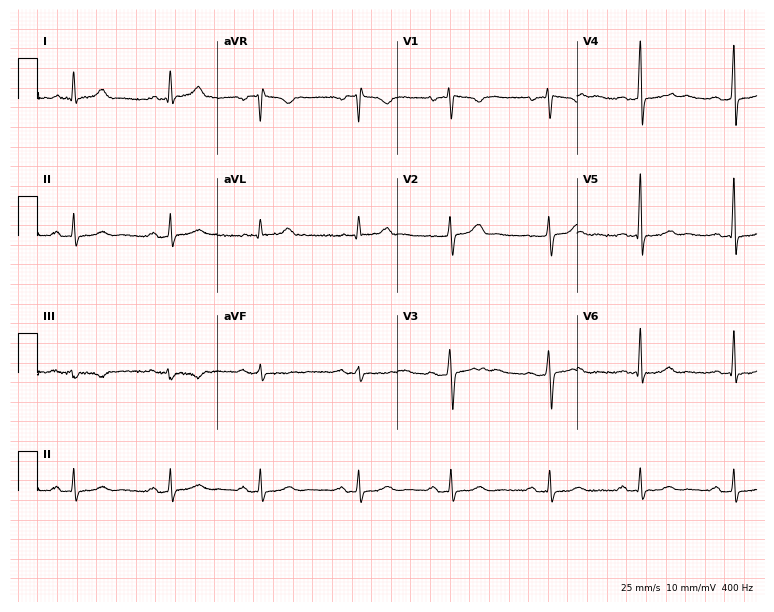
Electrocardiogram (7.3-second recording at 400 Hz), a female, 45 years old. Interpretation includes first-degree AV block.